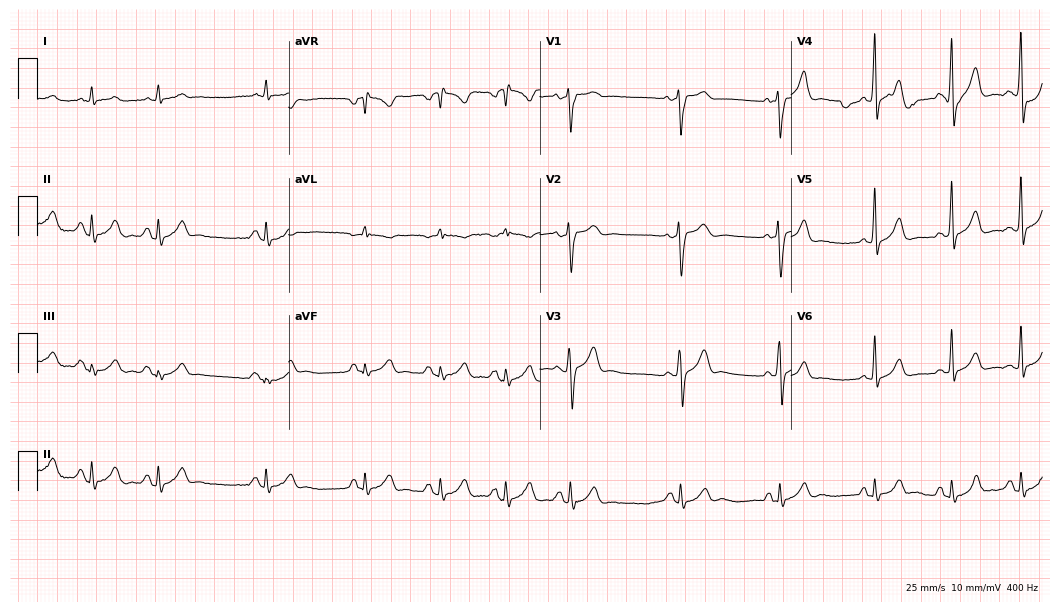
Resting 12-lead electrocardiogram. Patient: a 17-year-old male. Read as a normal ECG.